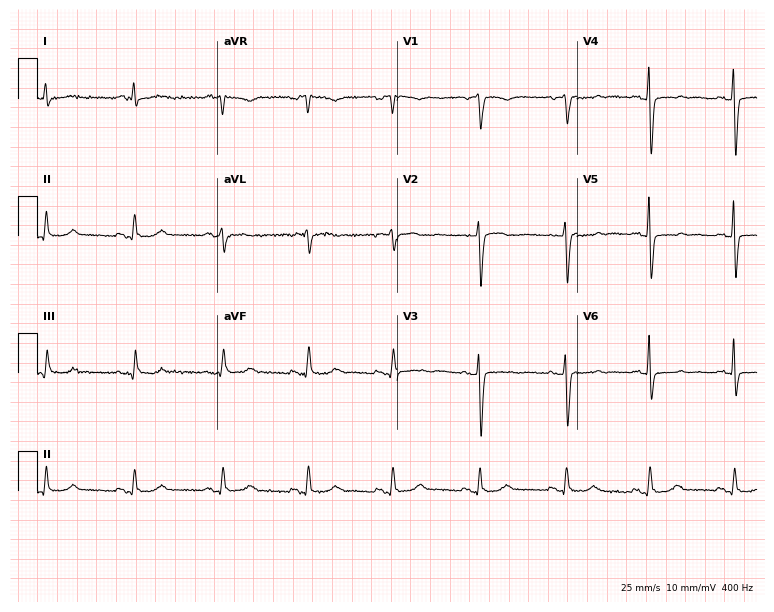
Resting 12-lead electrocardiogram. Patient: a 61-year-old female. None of these six findings is recorded: first-degree AV block, right bundle branch block, left bundle branch block, sinus bradycardia, atrial fibrillation, sinus tachycardia.